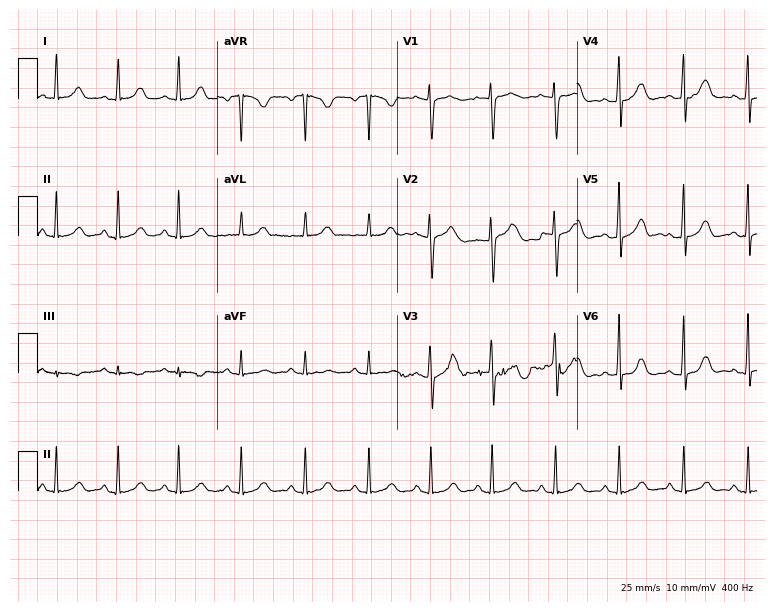
12-lead ECG from a 40-year-old female. Labelled as a normal ECG.